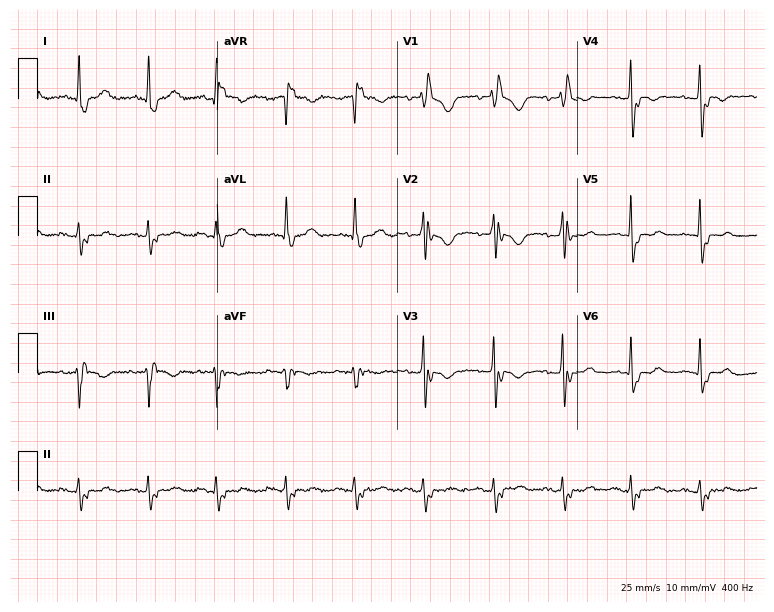
12-lead ECG from a female patient, 63 years old. Findings include right bundle branch block.